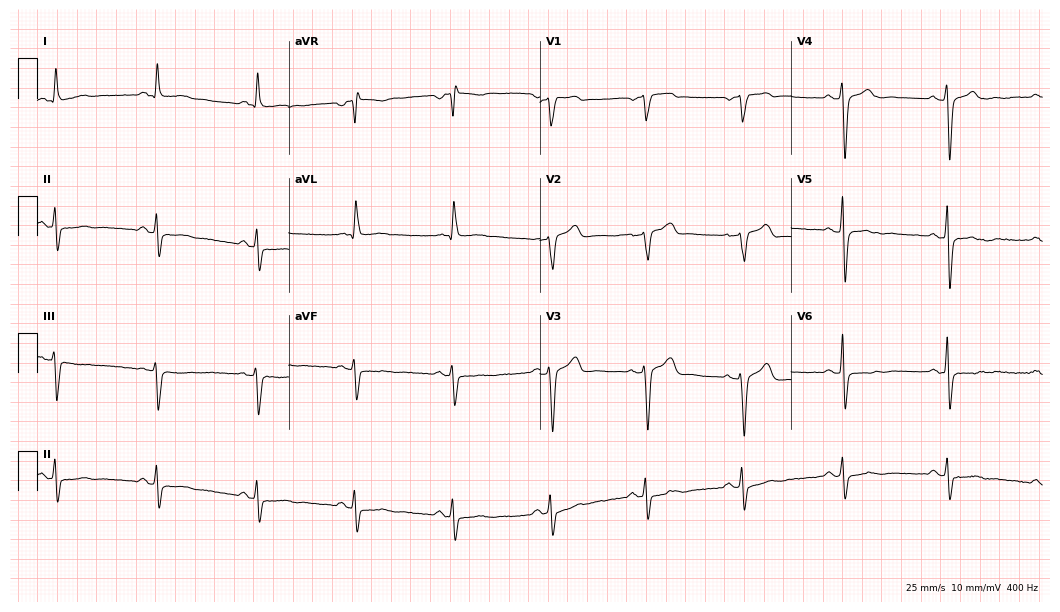
12-lead ECG from a male patient, 54 years old (10.2-second recording at 400 Hz). No first-degree AV block, right bundle branch block, left bundle branch block, sinus bradycardia, atrial fibrillation or sinus tachycardia recorded for this tracing.